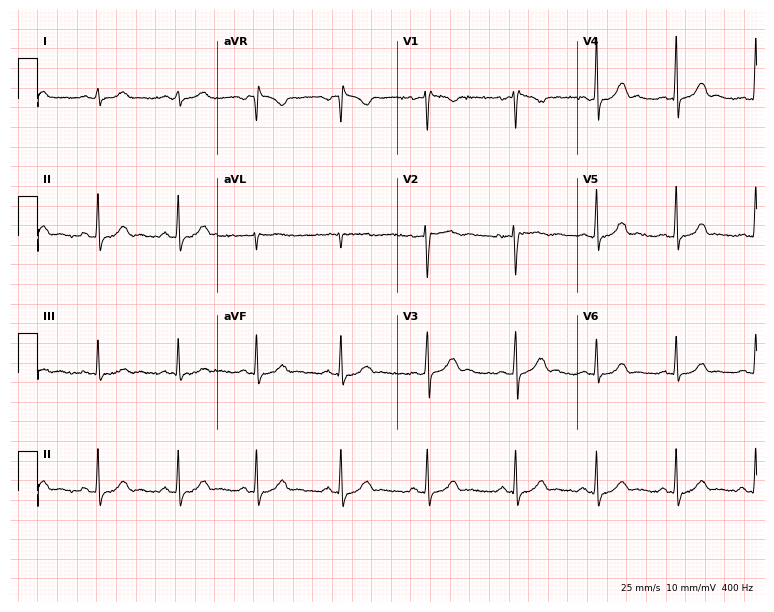
12-lead ECG from a 30-year-old woman. Screened for six findings — first-degree AV block, right bundle branch block, left bundle branch block, sinus bradycardia, atrial fibrillation, sinus tachycardia — none is recorded. Findings outside these six are not listed.